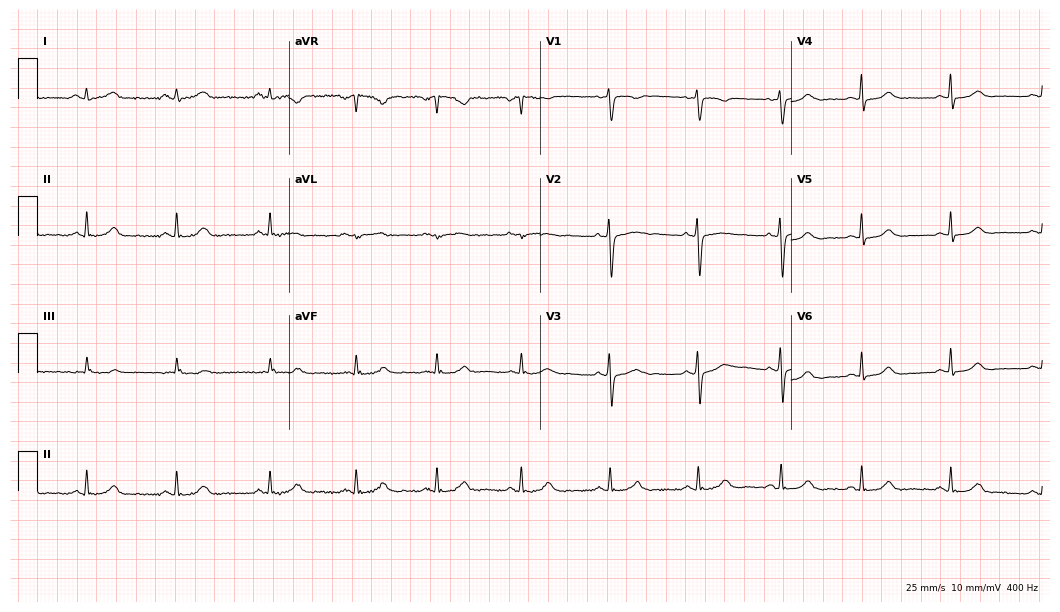
ECG — a 39-year-old woman. Labelled as a normal ECG.